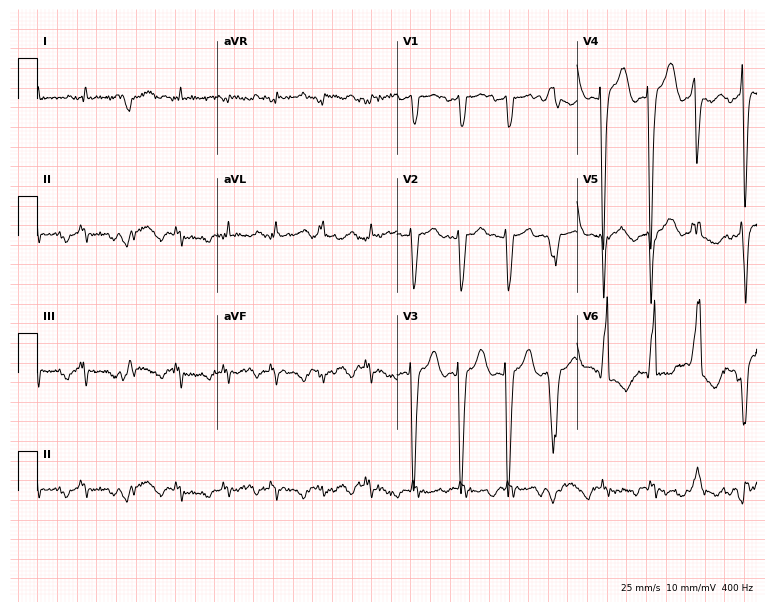
Standard 12-lead ECG recorded from a male, 62 years old (7.3-second recording at 400 Hz). None of these six findings is recorded: first-degree AV block, right bundle branch block, left bundle branch block, sinus bradycardia, atrial fibrillation, sinus tachycardia. Findings outside these six are not listed.